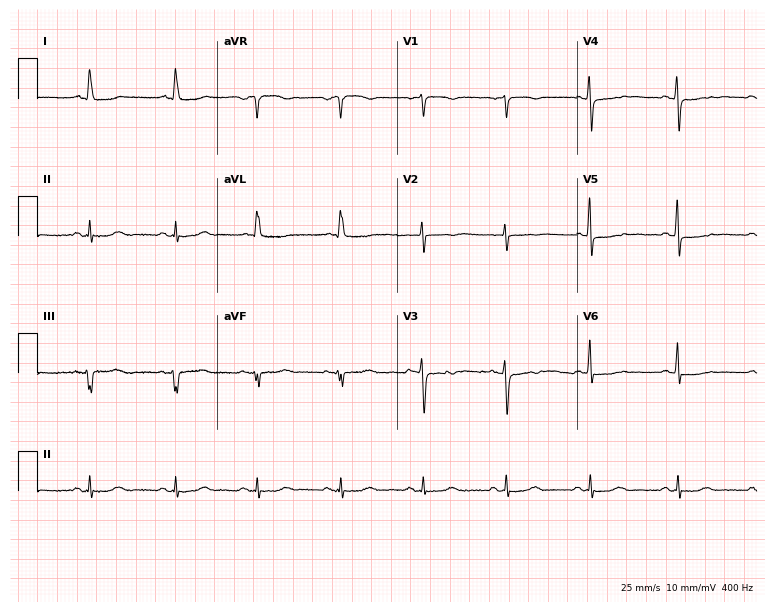
ECG — a 64-year-old female patient. Screened for six findings — first-degree AV block, right bundle branch block, left bundle branch block, sinus bradycardia, atrial fibrillation, sinus tachycardia — none is recorded. Only these six findings were labelled.